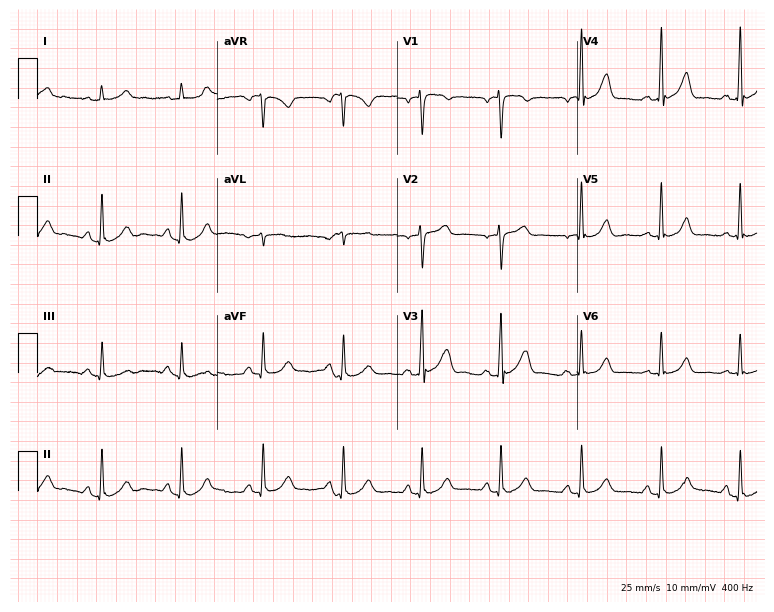
12-lead ECG from a man, 62 years old (7.3-second recording at 400 Hz). Recorded interpretation: within normal limits.